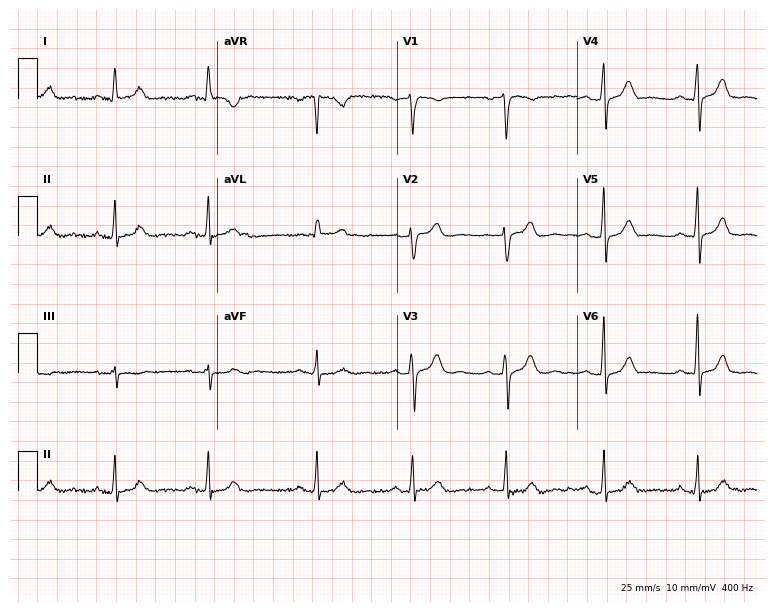
ECG — a female patient, 38 years old. Screened for six findings — first-degree AV block, right bundle branch block, left bundle branch block, sinus bradycardia, atrial fibrillation, sinus tachycardia — none is recorded.